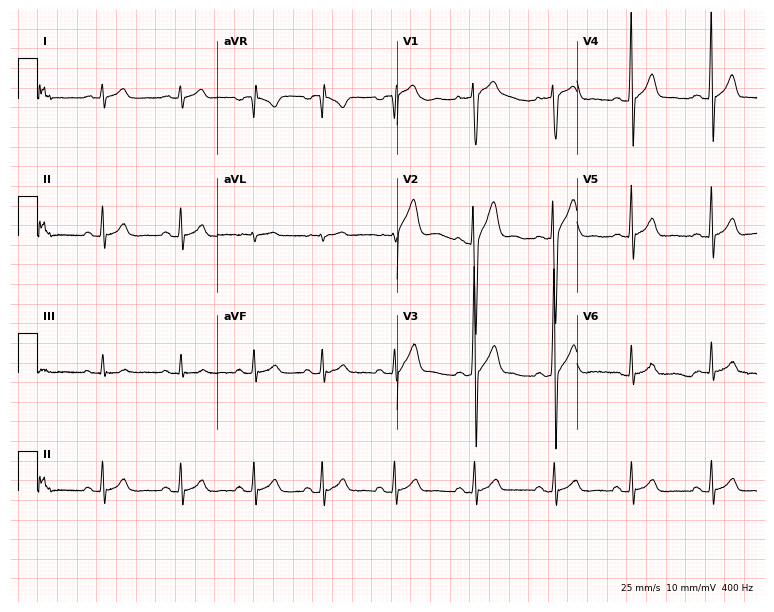
Electrocardiogram (7.3-second recording at 400 Hz), a 23-year-old male. Overall reading on record: normal ECG.